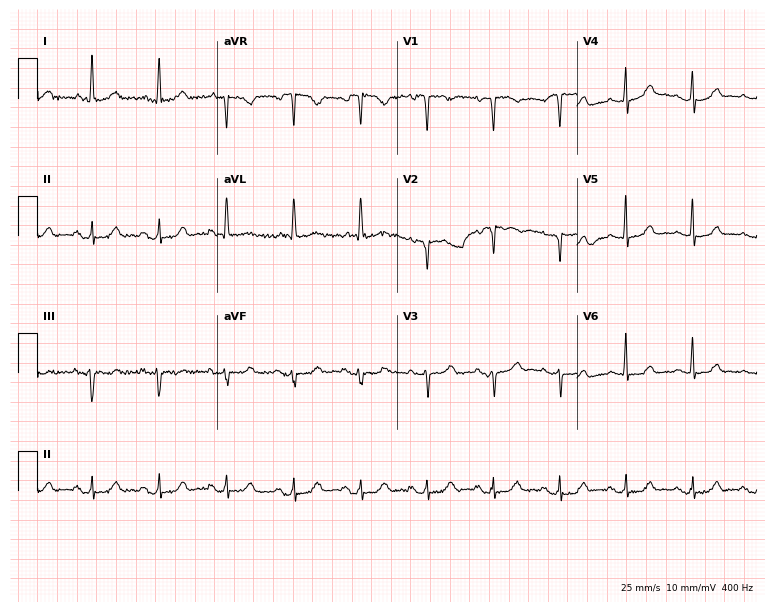
ECG — a 69-year-old female. Labelled as a normal ECG.